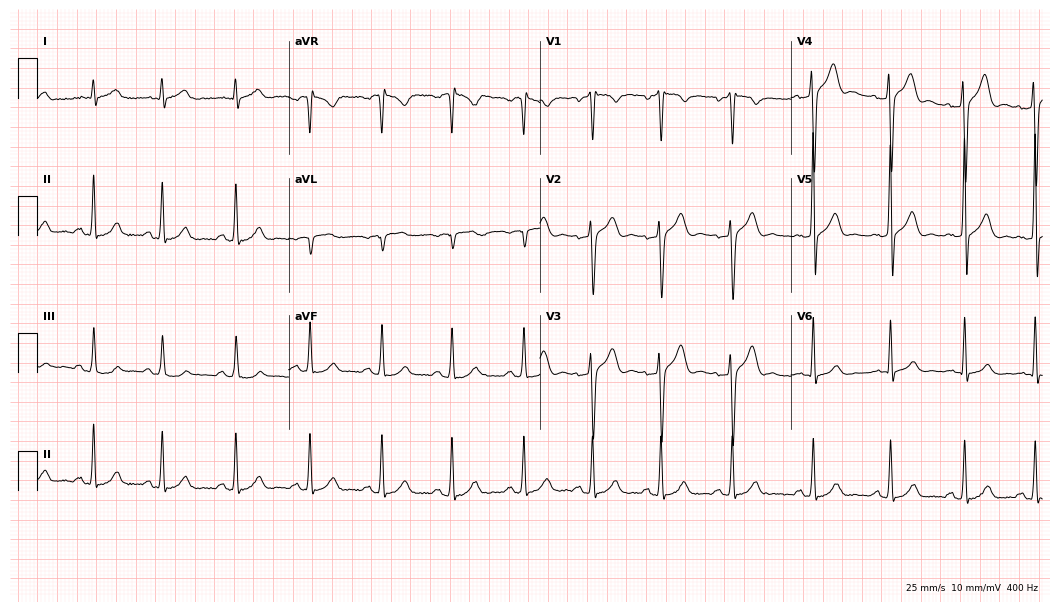
Resting 12-lead electrocardiogram (10.2-second recording at 400 Hz). Patient: a 24-year-old male. None of these six findings is recorded: first-degree AV block, right bundle branch block, left bundle branch block, sinus bradycardia, atrial fibrillation, sinus tachycardia. Findings outside these six are not listed.